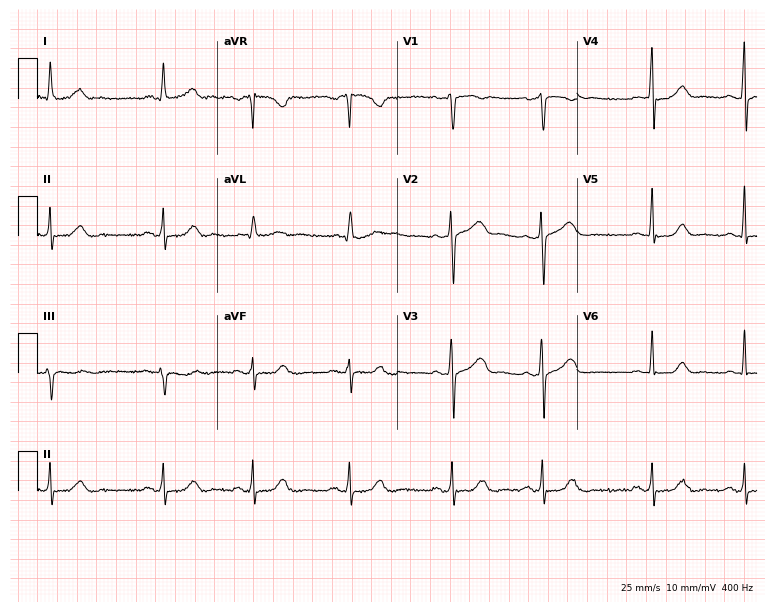
ECG (7.3-second recording at 400 Hz) — a 55-year-old woman. Labelled as a normal ECG.